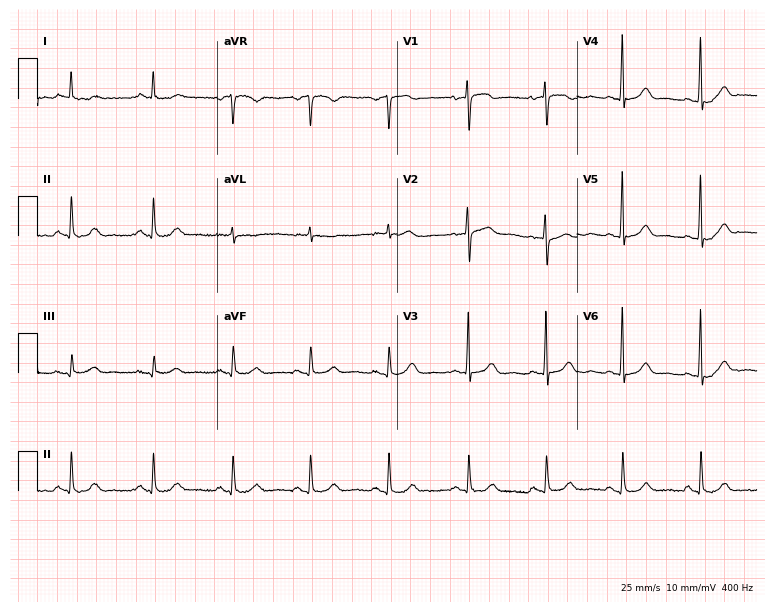
12-lead ECG (7.3-second recording at 400 Hz) from a female, 67 years old. Labelled as a normal ECG.